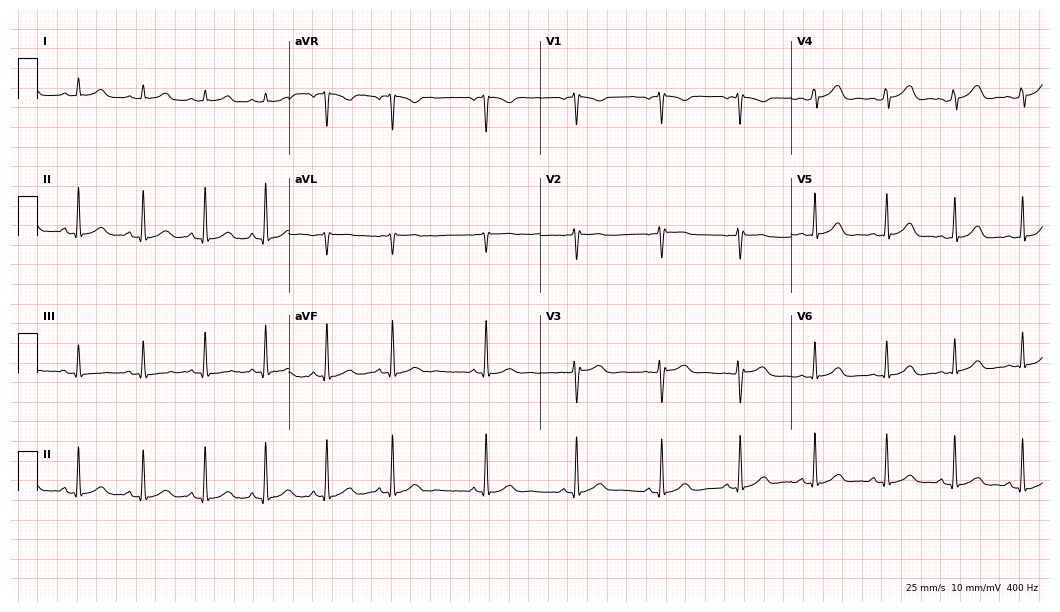
Resting 12-lead electrocardiogram (10.2-second recording at 400 Hz). Patient: a female, 18 years old. Read as a normal ECG.